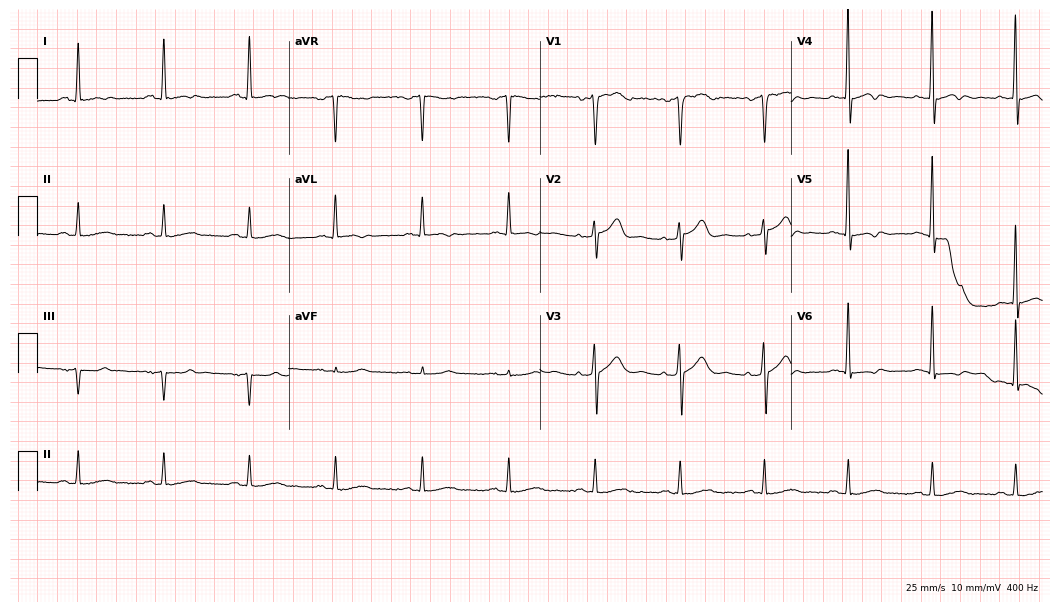
Electrocardiogram, a 57-year-old male patient. Of the six screened findings (first-degree AV block, right bundle branch block (RBBB), left bundle branch block (LBBB), sinus bradycardia, atrial fibrillation (AF), sinus tachycardia), none is recorded.